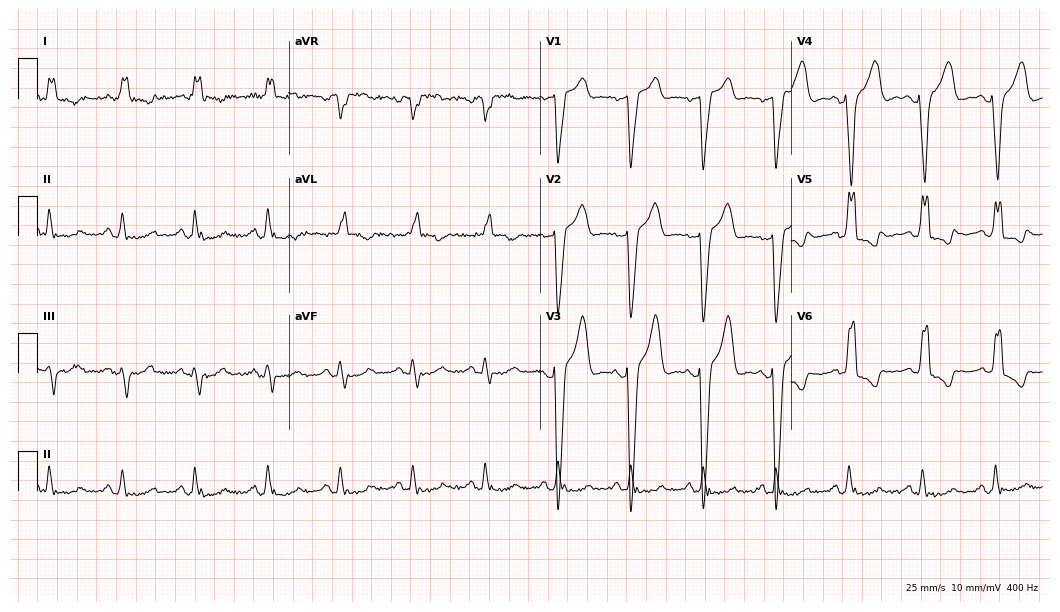
ECG (10.2-second recording at 400 Hz) — a 79-year-old man. Findings include left bundle branch block.